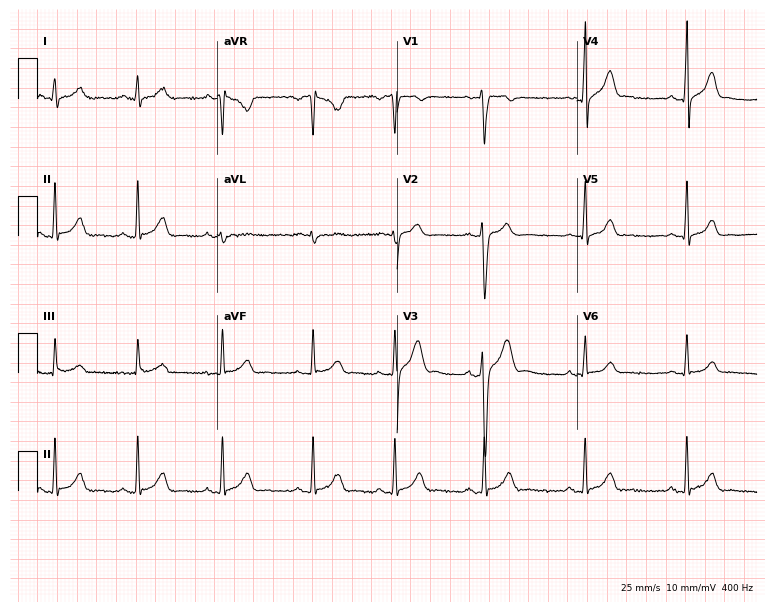
Standard 12-lead ECG recorded from a 19-year-old male patient. Read as a normal ECG.